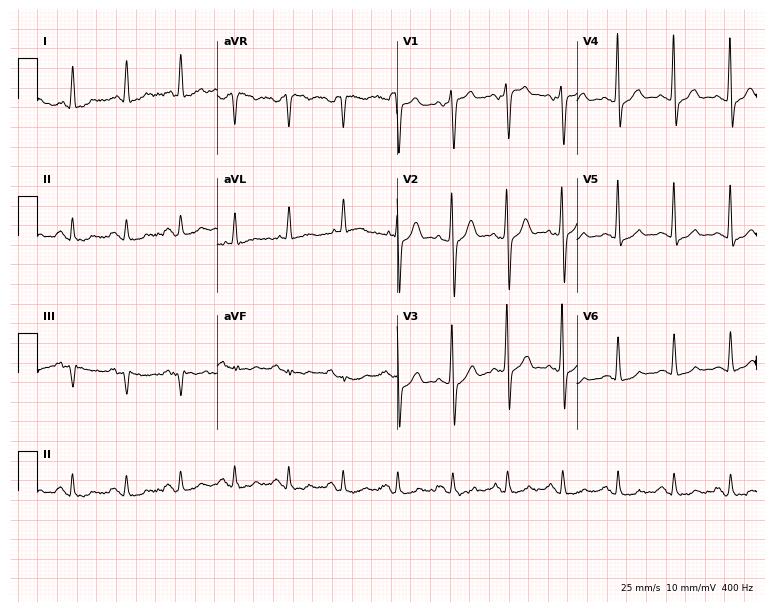
Electrocardiogram (7.3-second recording at 400 Hz), a 72-year-old woman. Interpretation includes sinus tachycardia (a sinus rate of 100 beats per minute or more).